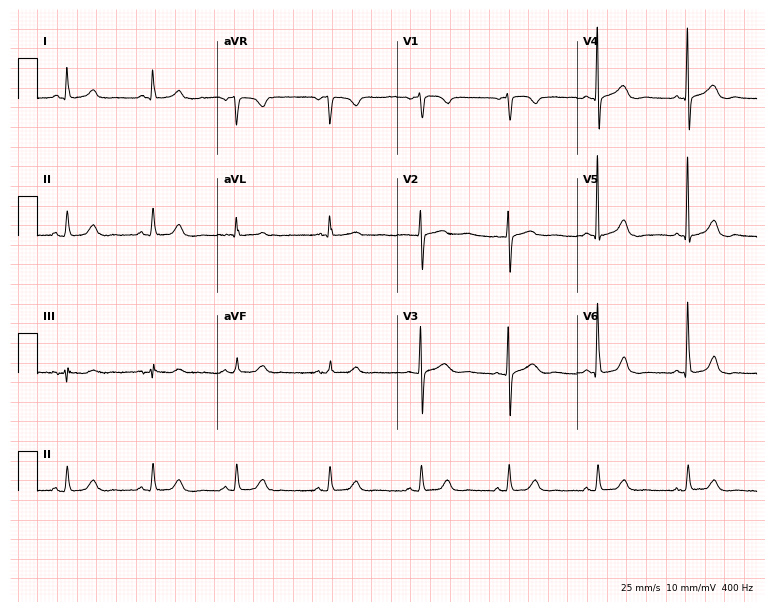
Resting 12-lead electrocardiogram. Patient: a female, 78 years old. None of these six findings is recorded: first-degree AV block, right bundle branch block, left bundle branch block, sinus bradycardia, atrial fibrillation, sinus tachycardia.